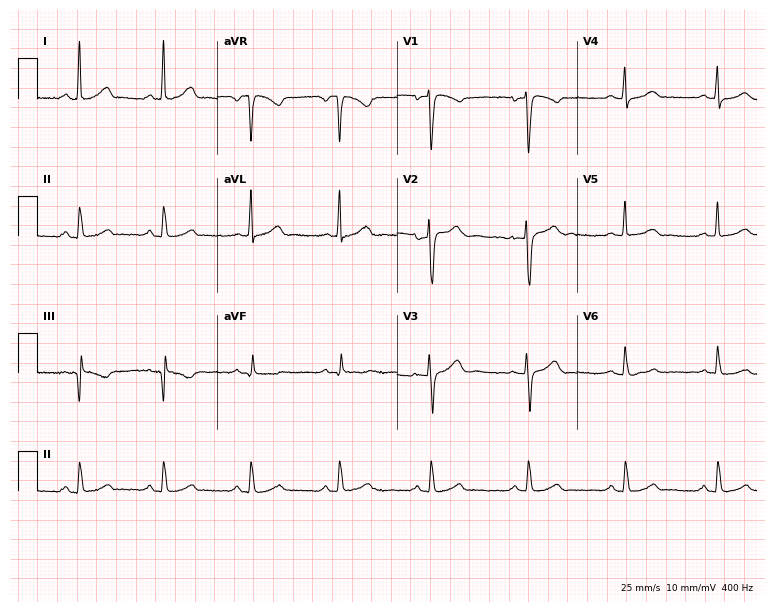
12-lead ECG from a 40-year-old woman. Recorded interpretation: within normal limits.